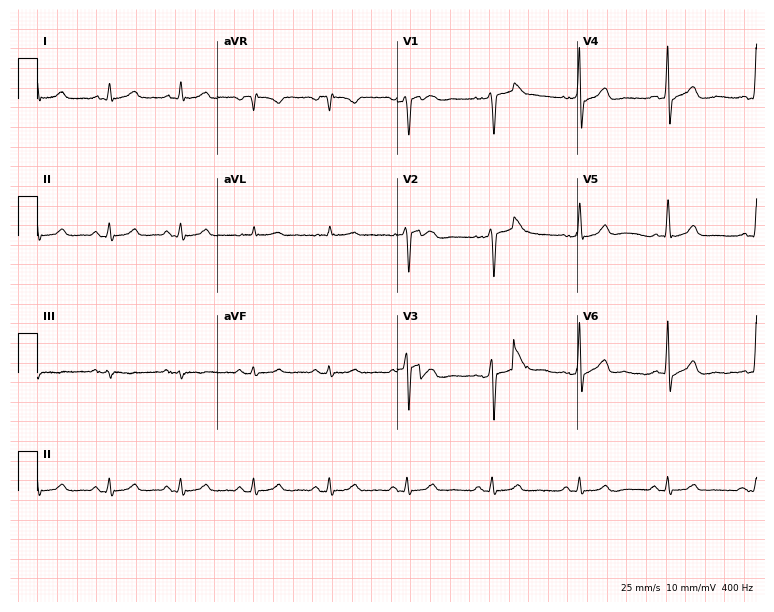
12-lead ECG from a male, 49 years old (7.3-second recording at 400 Hz). No first-degree AV block, right bundle branch block (RBBB), left bundle branch block (LBBB), sinus bradycardia, atrial fibrillation (AF) or sinus tachycardia recorded for this tracing. Only these six findings were labelled.